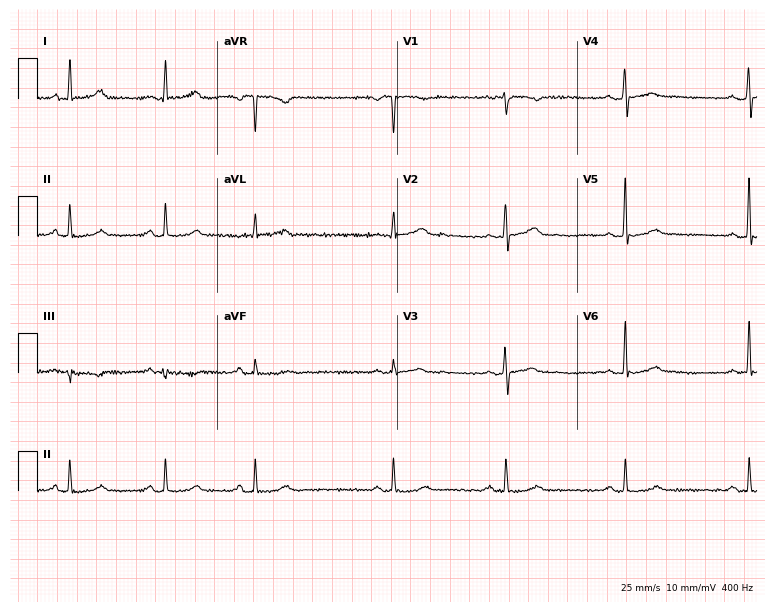
12-lead ECG (7.3-second recording at 400 Hz) from a female patient, 37 years old. Findings include sinus bradycardia (a sinus rate of 50 beats per minute or less).